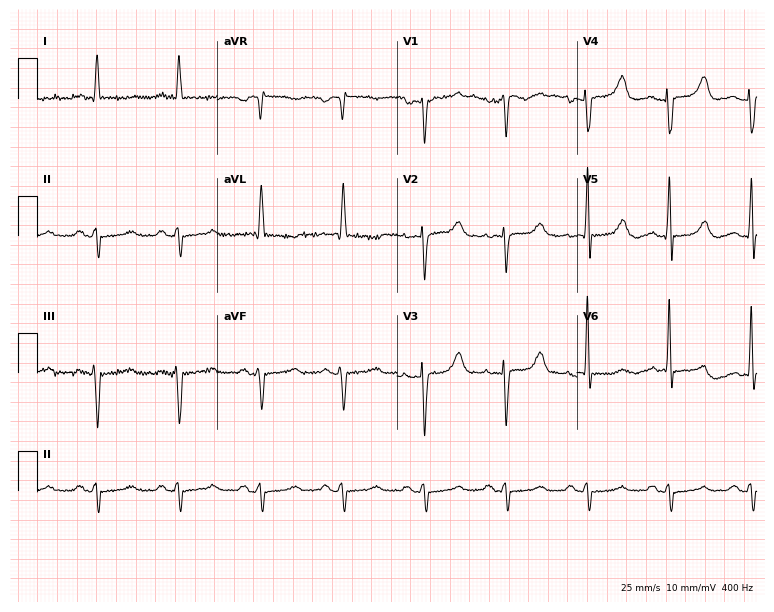
Standard 12-lead ECG recorded from a woman, 61 years old (7.3-second recording at 400 Hz). None of these six findings is recorded: first-degree AV block, right bundle branch block, left bundle branch block, sinus bradycardia, atrial fibrillation, sinus tachycardia.